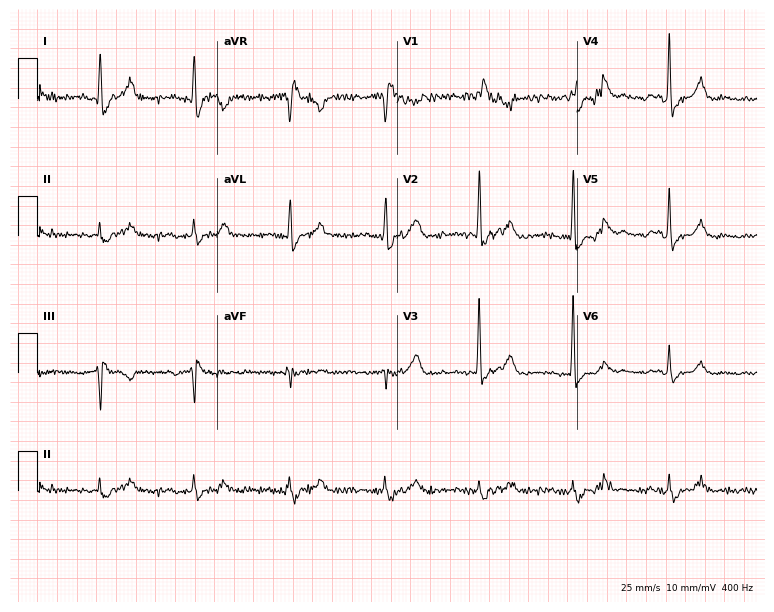
Standard 12-lead ECG recorded from a woman, 79 years old (7.3-second recording at 400 Hz). The tracing shows right bundle branch block.